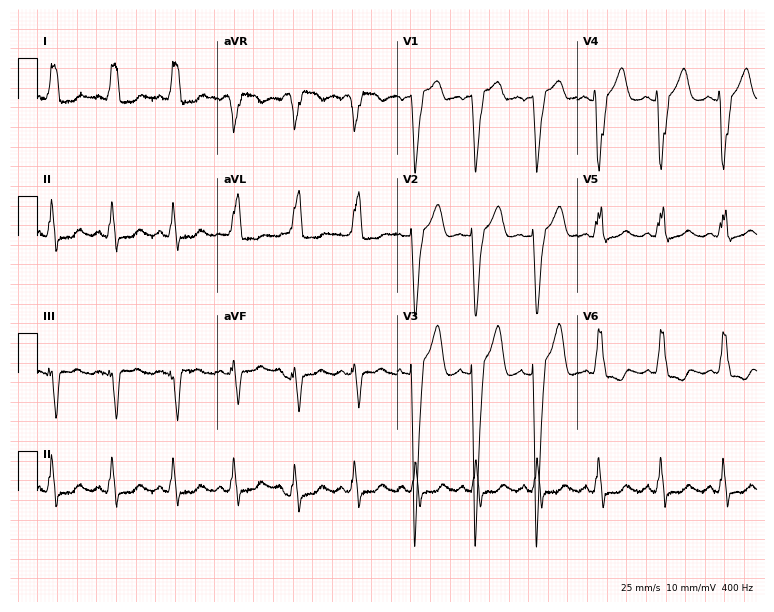
ECG — a female, 53 years old. Findings include left bundle branch block (LBBB).